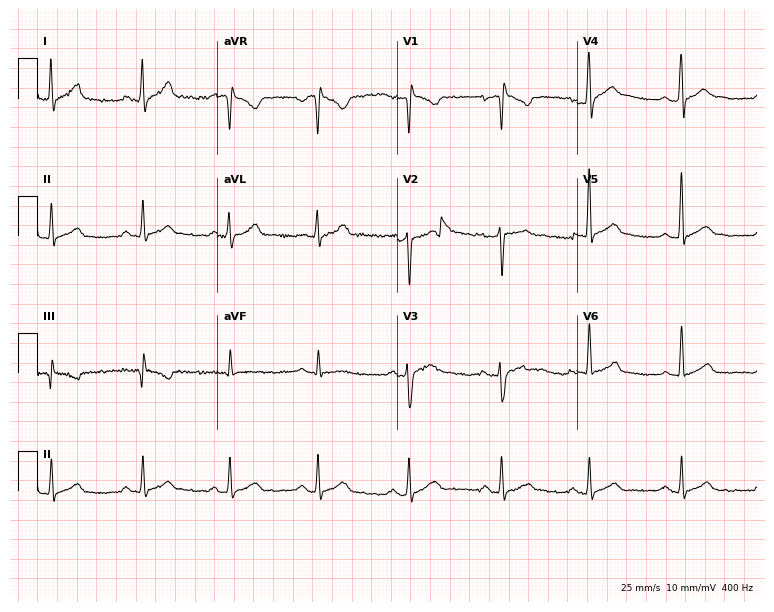
ECG (7.3-second recording at 400 Hz) — a man, 35 years old. Screened for six findings — first-degree AV block, right bundle branch block, left bundle branch block, sinus bradycardia, atrial fibrillation, sinus tachycardia — none is recorded. Only these six findings were labelled.